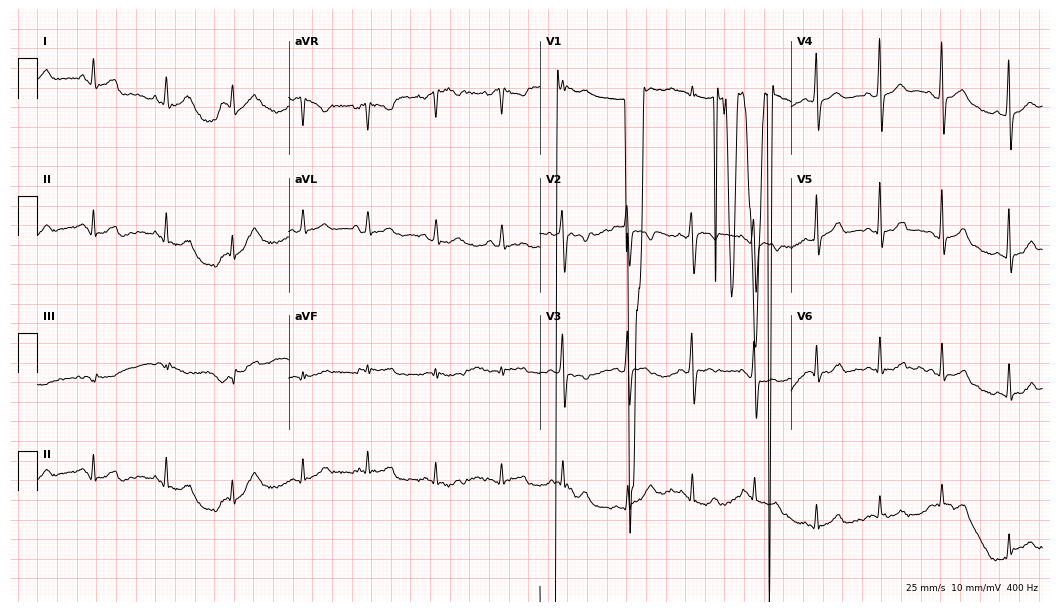
Standard 12-lead ECG recorded from a female, 25 years old (10.2-second recording at 400 Hz). None of these six findings is recorded: first-degree AV block, right bundle branch block, left bundle branch block, sinus bradycardia, atrial fibrillation, sinus tachycardia.